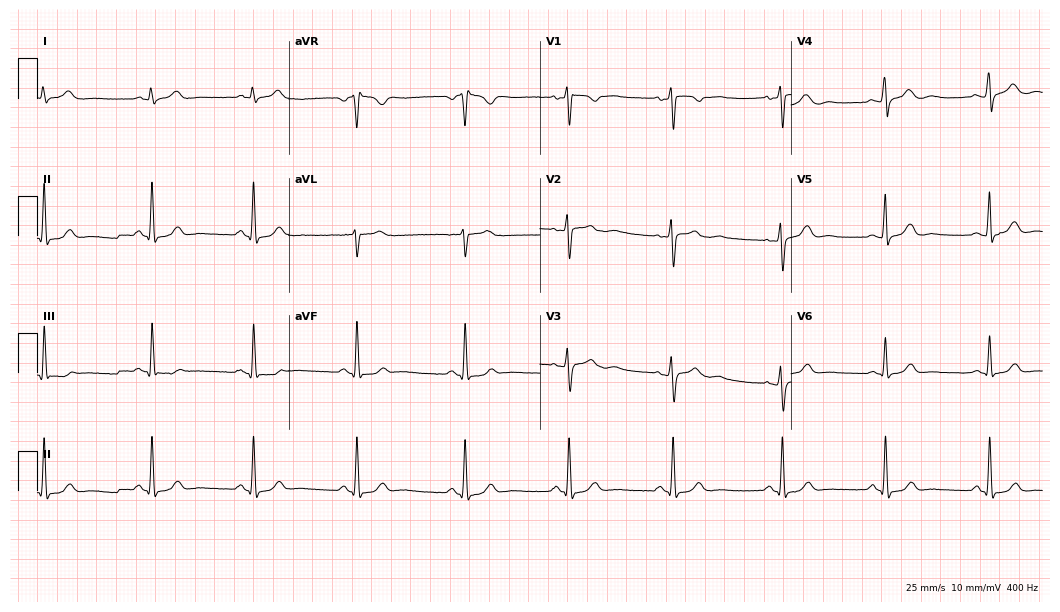
12-lead ECG from a woman, 24 years old. No first-degree AV block, right bundle branch block, left bundle branch block, sinus bradycardia, atrial fibrillation or sinus tachycardia recorded for this tracing.